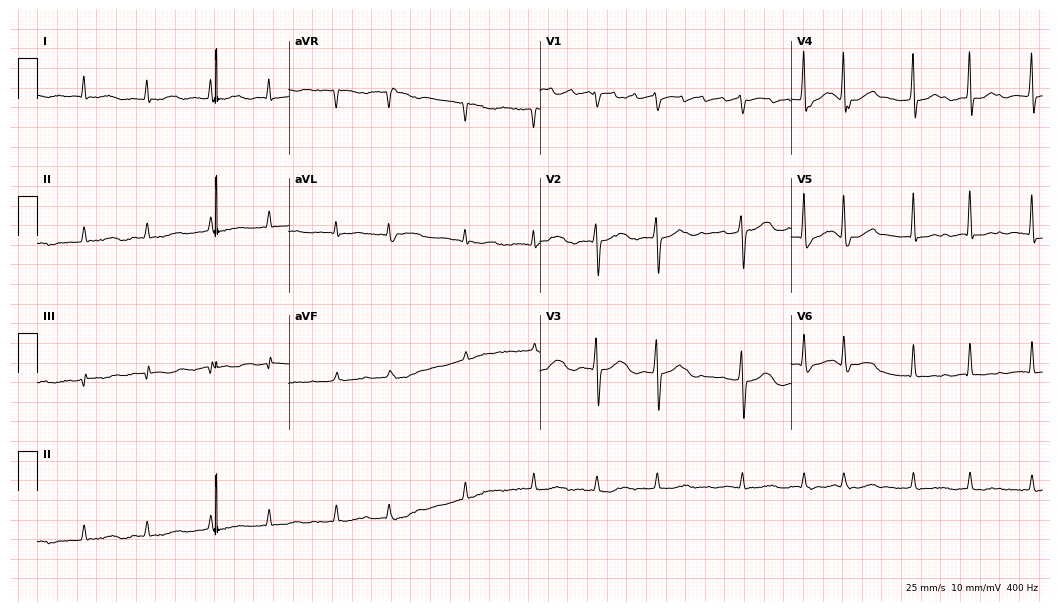
ECG (10.2-second recording at 400 Hz) — a 69-year-old woman. Screened for six findings — first-degree AV block, right bundle branch block, left bundle branch block, sinus bradycardia, atrial fibrillation, sinus tachycardia — none is recorded.